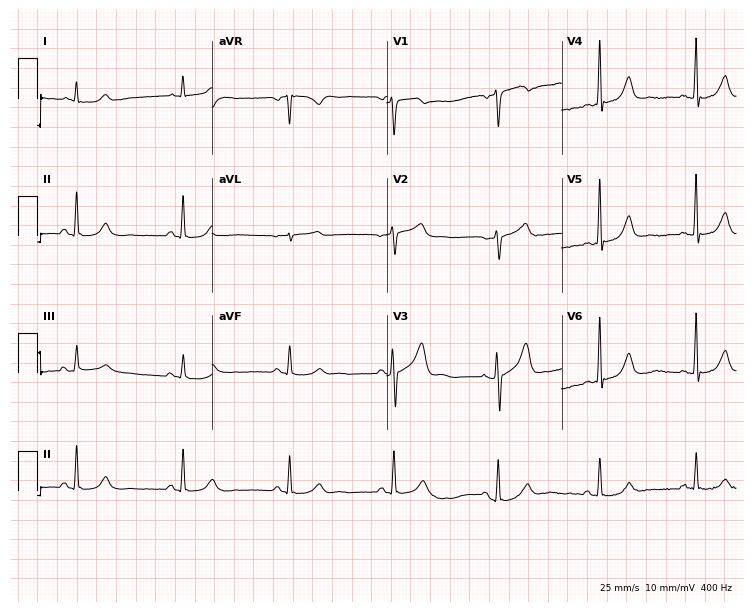
Standard 12-lead ECG recorded from a man, 62 years old (7.1-second recording at 400 Hz). Read as a normal ECG.